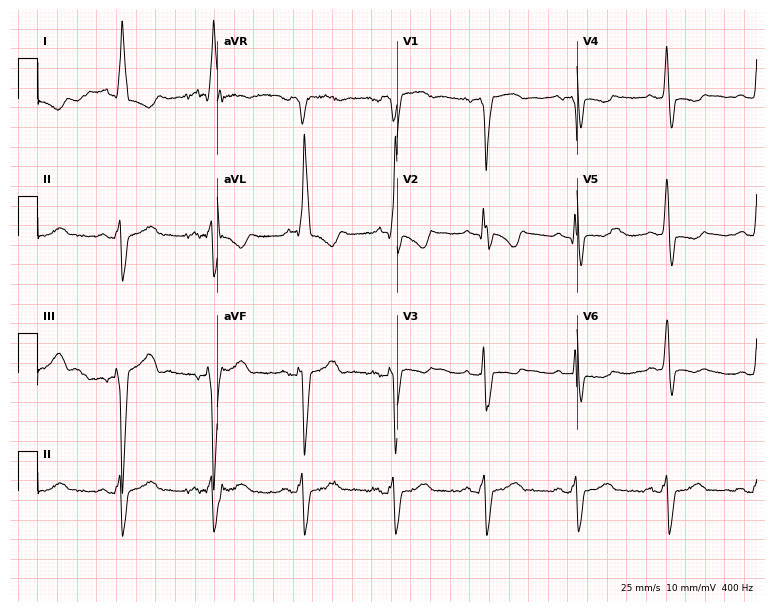
Electrocardiogram (7.3-second recording at 400 Hz), a man, 82 years old. Interpretation includes right bundle branch block.